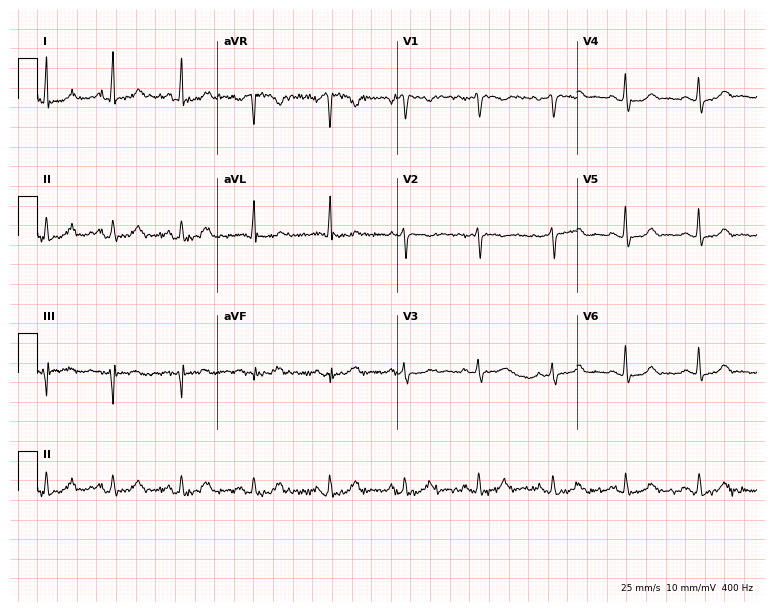
ECG (7.3-second recording at 400 Hz) — a woman, 41 years old. Labelled as a normal ECG.